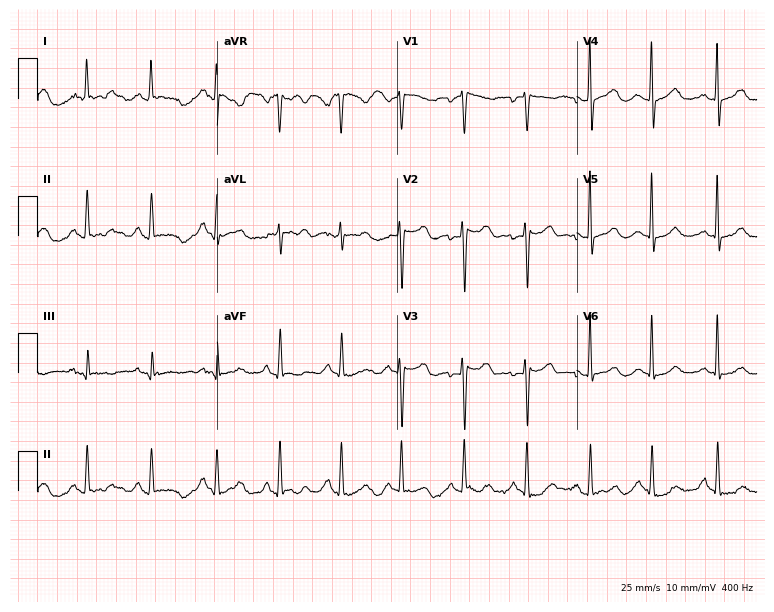
12-lead ECG (7.3-second recording at 400 Hz) from a 54-year-old female. Labelled as a normal ECG.